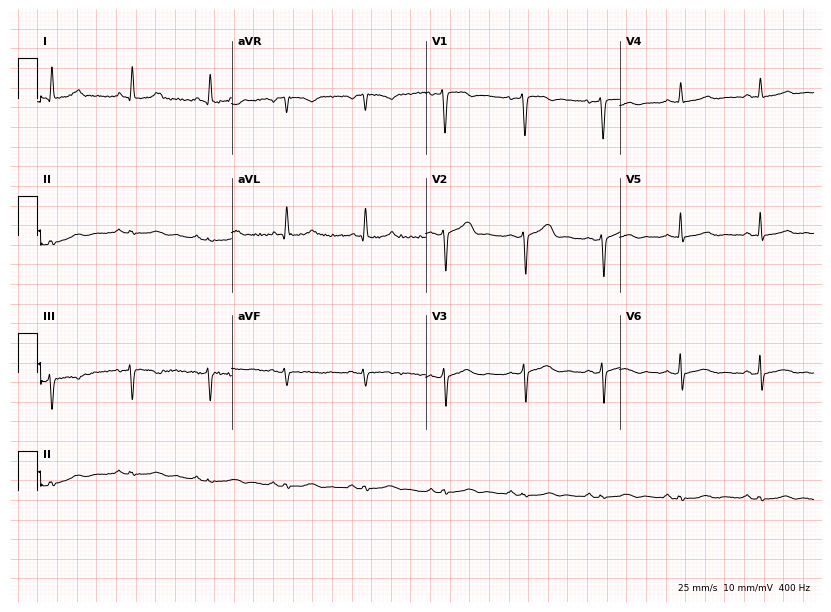
ECG (7.9-second recording at 400 Hz) — a 48-year-old woman. Screened for six findings — first-degree AV block, right bundle branch block (RBBB), left bundle branch block (LBBB), sinus bradycardia, atrial fibrillation (AF), sinus tachycardia — none is recorded. Other findings, if any, are not listed.